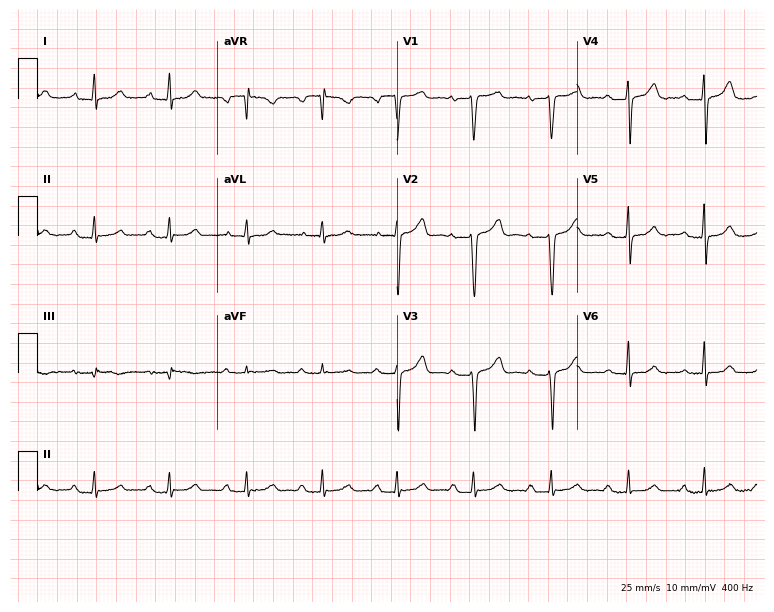
12-lead ECG (7.3-second recording at 400 Hz) from a 48-year-old female. Findings include first-degree AV block.